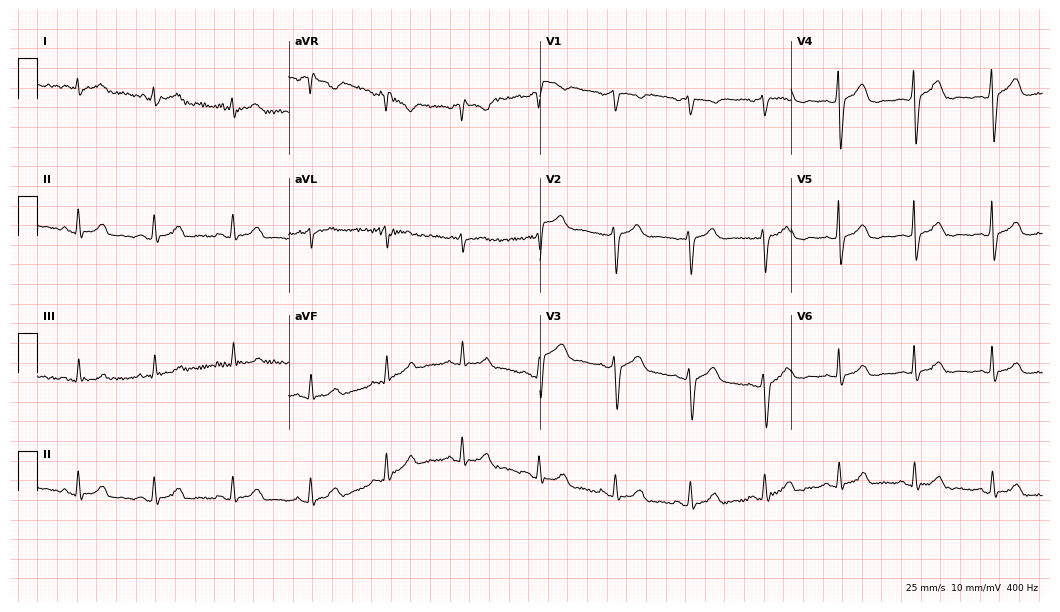
Electrocardiogram (10.2-second recording at 400 Hz), a male patient, 48 years old. Overall reading on record: normal ECG.